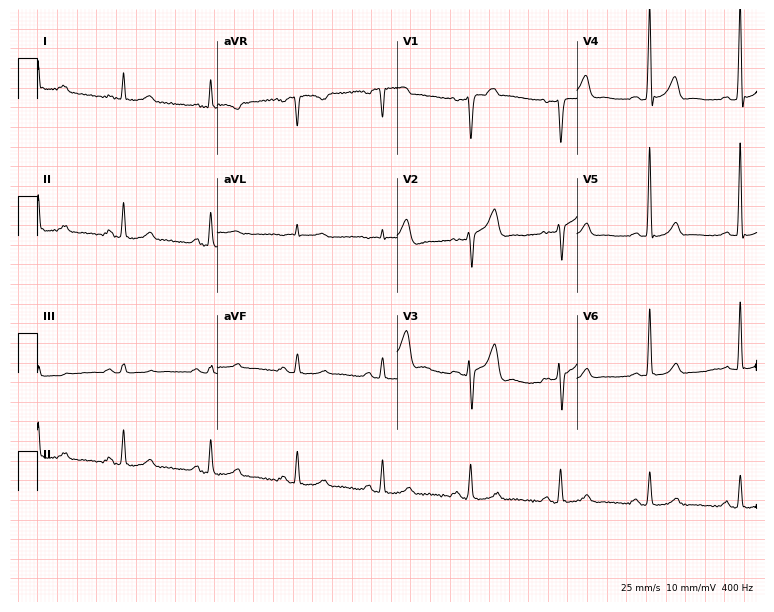
ECG — a 53-year-old male patient. Screened for six findings — first-degree AV block, right bundle branch block (RBBB), left bundle branch block (LBBB), sinus bradycardia, atrial fibrillation (AF), sinus tachycardia — none is recorded.